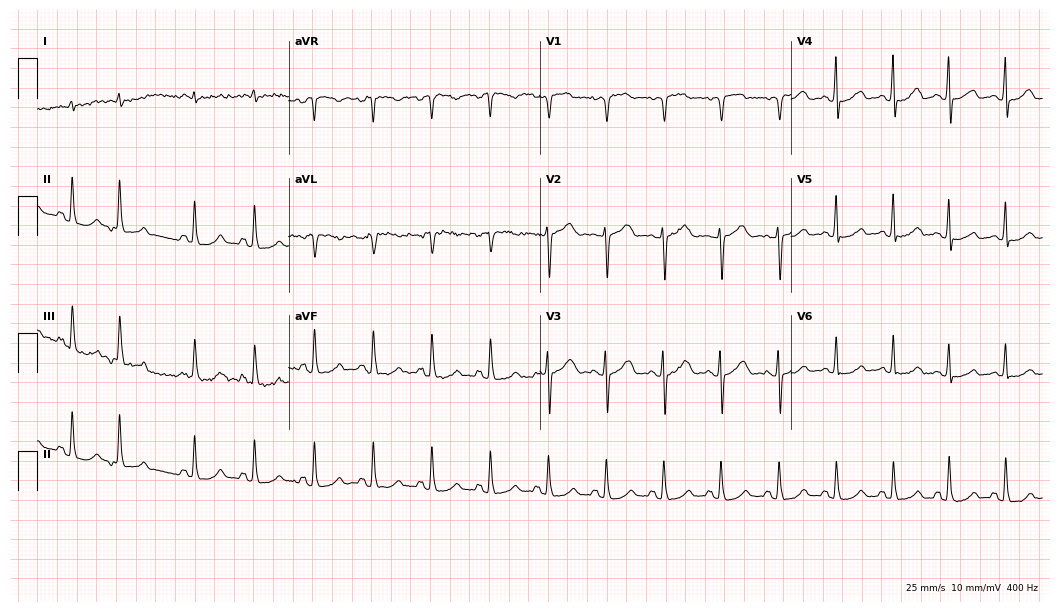
Electrocardiogram, a female, 73 years old. Interpretation includes sinus tachycardia (a sinus rate of 100 beats per minute or more).